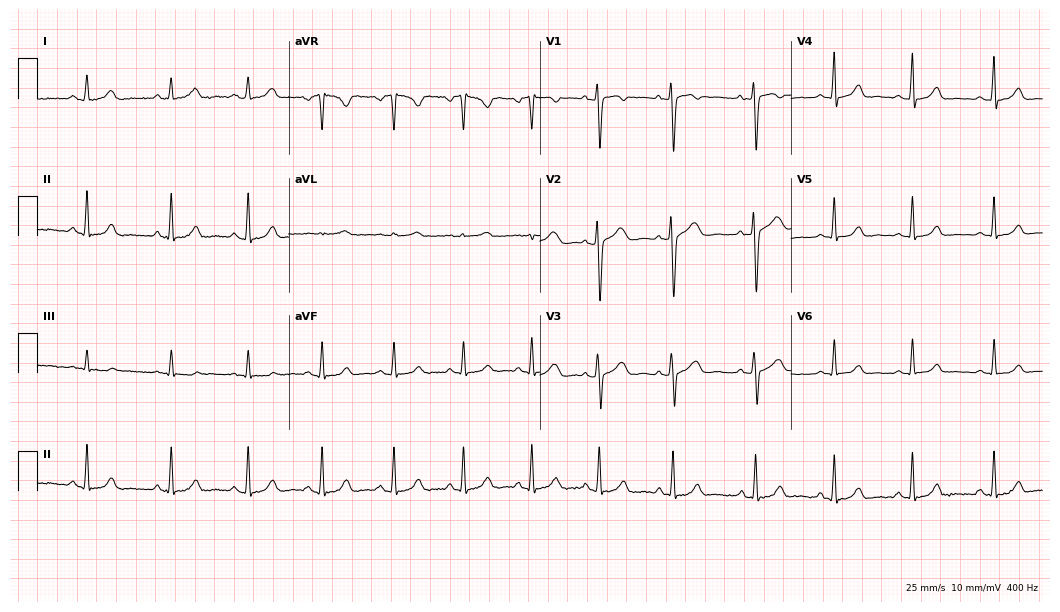
Electrocardiogram (10.2-second recording at 400 Hz), a 22-year-old female. Of the six screened findings (first-degree AV block, right bundle branch block, left bundle branch block, sinus bradycardia, atrial fibrillation, sinus tachycardia), none is recorded.